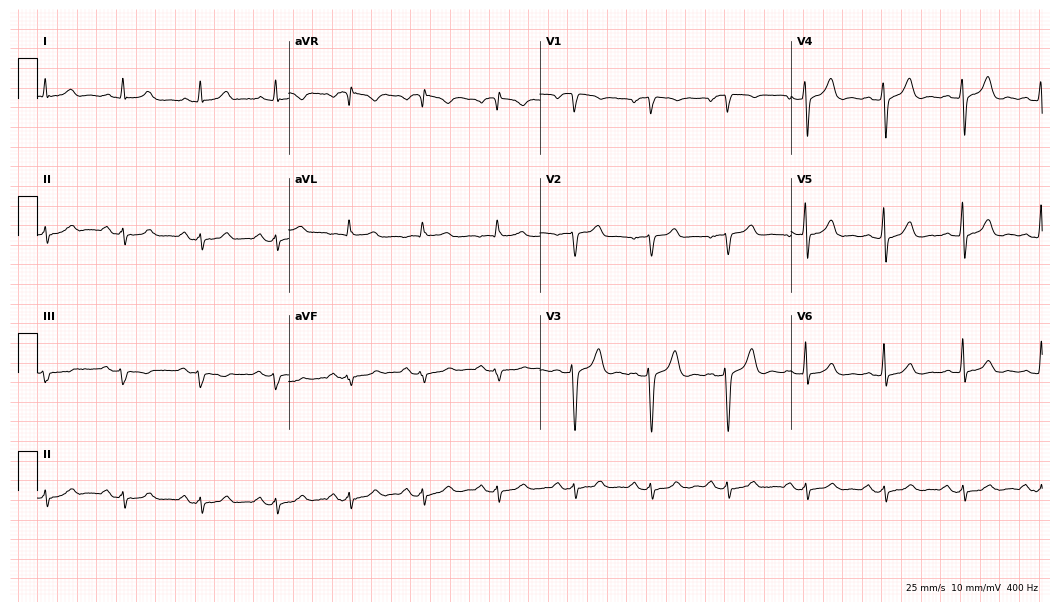
Resting 12-lead electrocardiogram. Patient: a 74-year-old male. None of these six findings is recorded: first-degree AV block, right bundle branch block, left bundle branch block, sinus bradycardia, atrial fibrillation, sinus tachycardia. Findings outside these six are not listed.